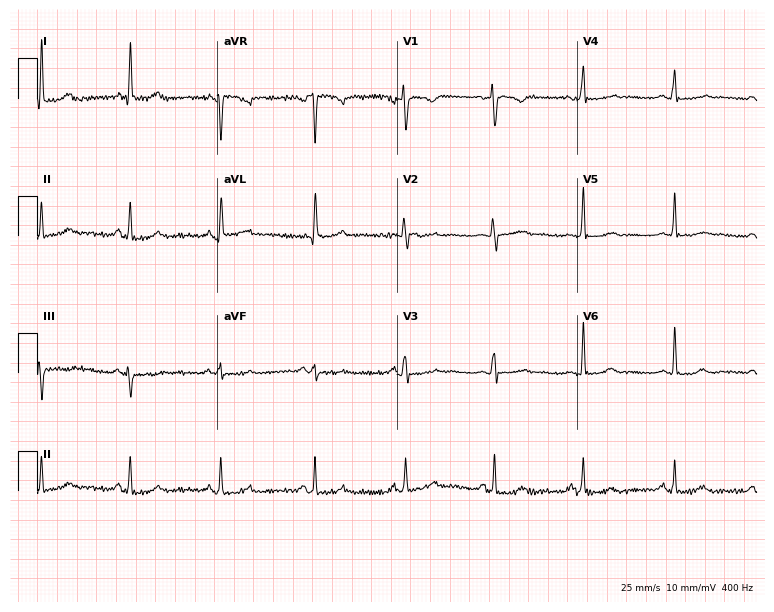
Electrocardiogram, a 48-year-old woman. Of the six screened findings (first-degree AV block, right bundle branch block (RBBB), left bundle branch block (LBBB), sinus bradycardia, atrial fibrillation (AF), sinus tachycardia), none is recorded. Only these six findings were labelled.